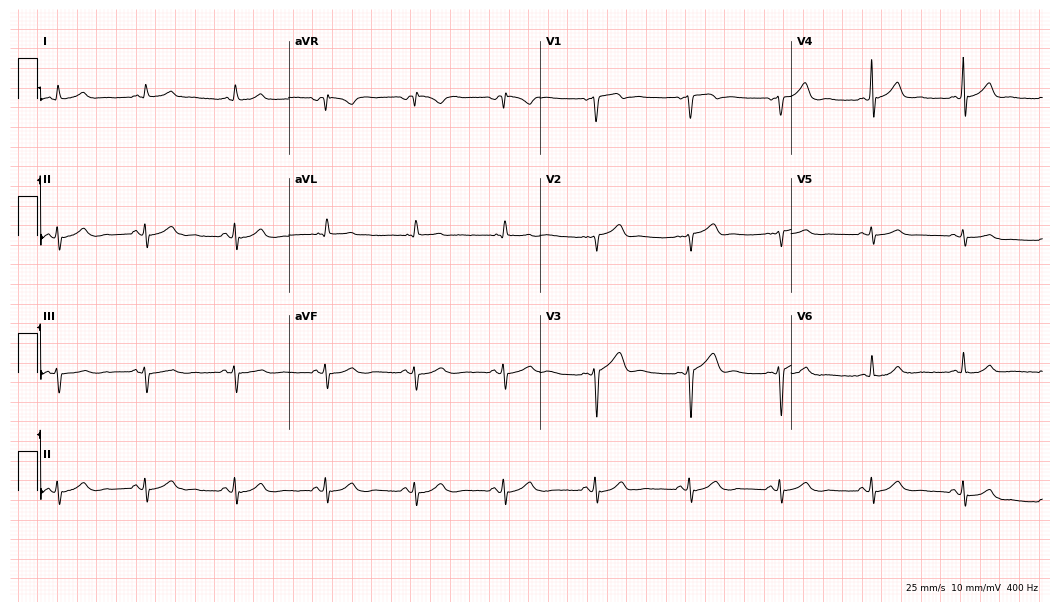
ECG — a 61-year-old man. Screened for six findings — first-degree AV block, right bundle branch block (RBBB), left bundle branch block (LBBB), sinus bradycardia, atrial fibrillation (AF), sinus tachycardia — none is recorded.